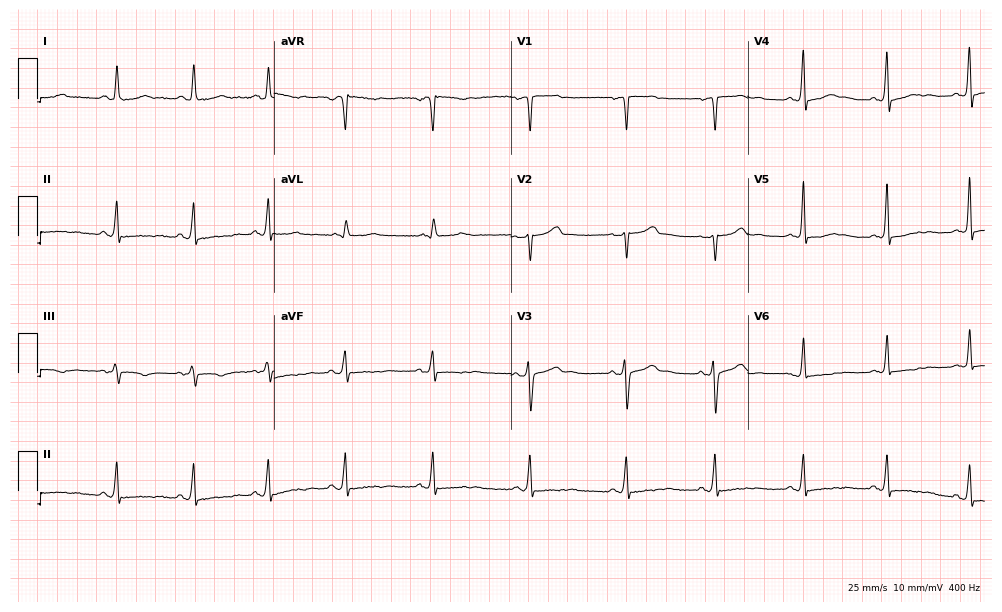
Electrocardiogram, a 37-year-old woman. Of the six screened findings (first-degree AV block, right bundle branch block (RBBB), left bundle branch block (LBBB), sinus bradycardia, atrial fibrillation (AF), sinus tachycardia), none is recorded. Only these six findings were labelled.